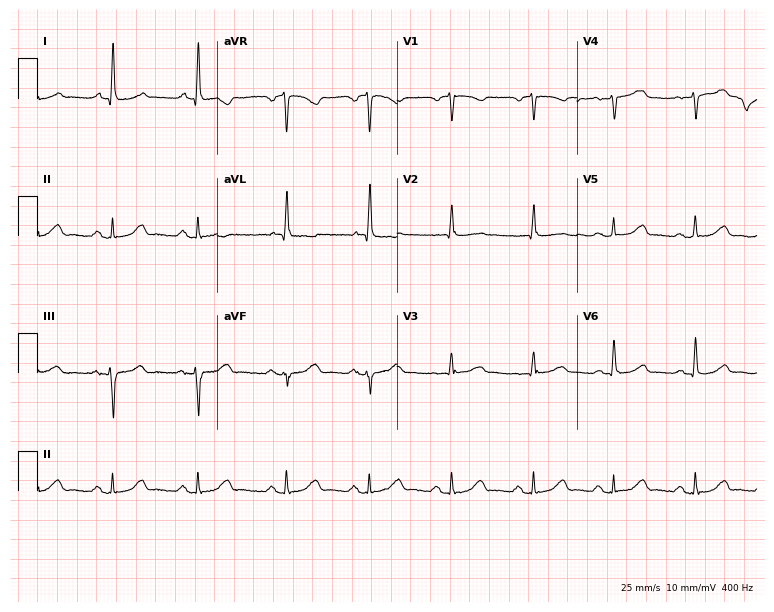
12-lead ECG from a 62-year-old female patient (7.3-second recording at 400 Hz). Recorded interpretation: within normal limits.